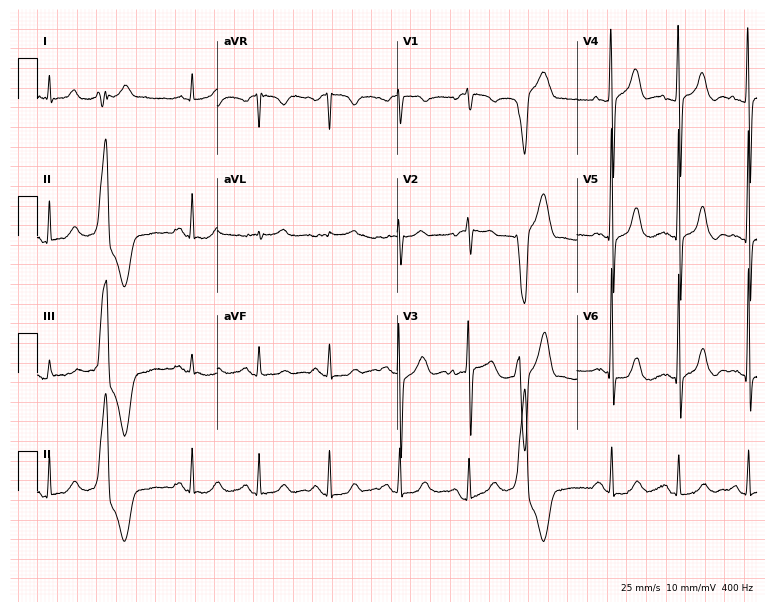
Standard 12-lead ECG recorded from a 62-year-old woman (7.3-second recording at 400 Hz). None of these six findings is recorded: first-degree AV block, right bundle branch block (RBBB), left bundle branch block (LBBB), sinus bradycardia, atrial fibrillation (AF), sinus tachycardia. Only these six findings were labelled.